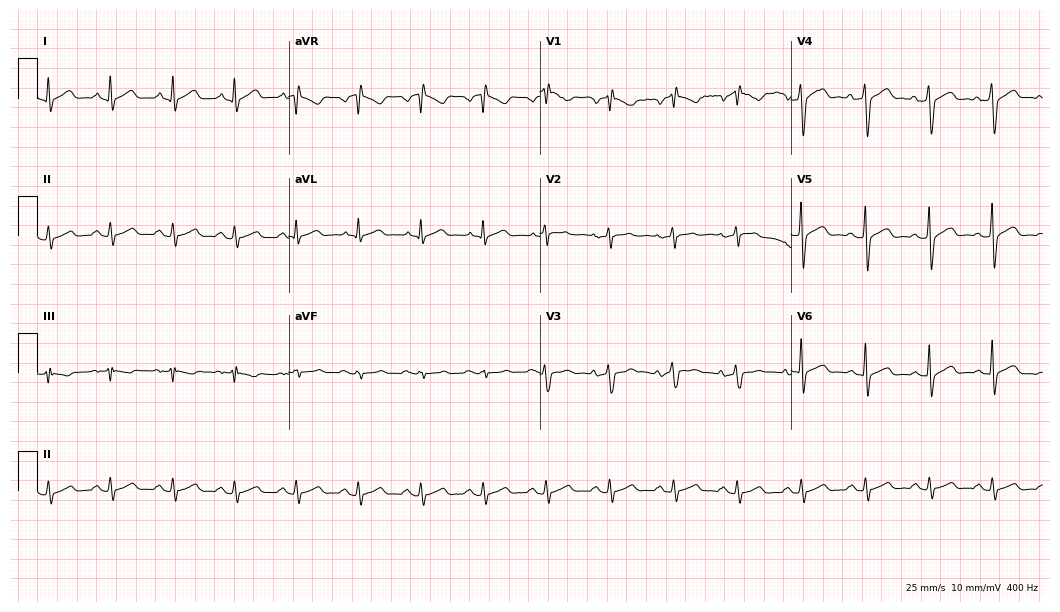
Standard 12-lead ECG recorded from a 54-year-old male (10.2-second recording at 400 Hz). None of these six findings is recorded: first-degree AV block, right bundle branch block, left bundle branch block, sinus bradycardia, atrial fibrillation, sinus tachycardia. Other findings, if any, are not listed.